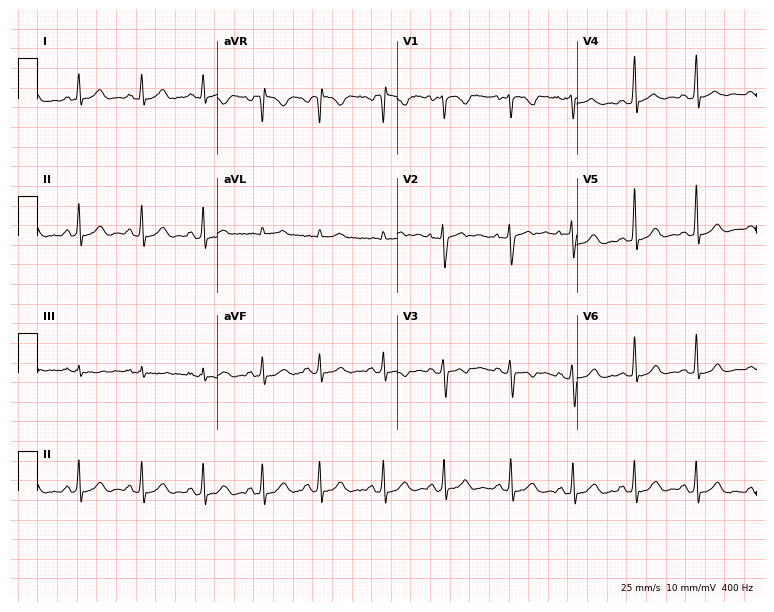
Resting 12-lead electrocardiogram. Patient: a female, 27 years old. None of these six findings is recorded: first-degree AV block, right bundle branch block (RBBB), left bundle branch block (LBBB), sinus bradycardia, atrial fibrillation (AF), sinus tachycardia. Only these six findings were labelled.